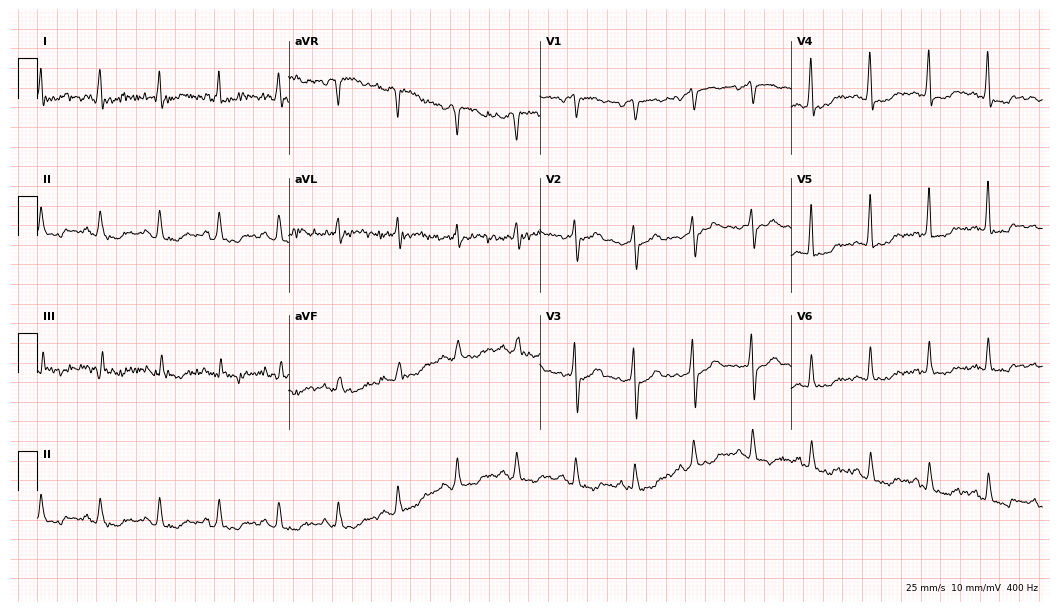
Standard 12-lead ECG recorded from a 42-year-old male (10.2-second recording at 400 Hz). None of these six findings is recorded: first-degree AV block, right bundle branch block, left bundle branch block, sinus bradycardia, atrial fibrillation, sinus tachycardia.